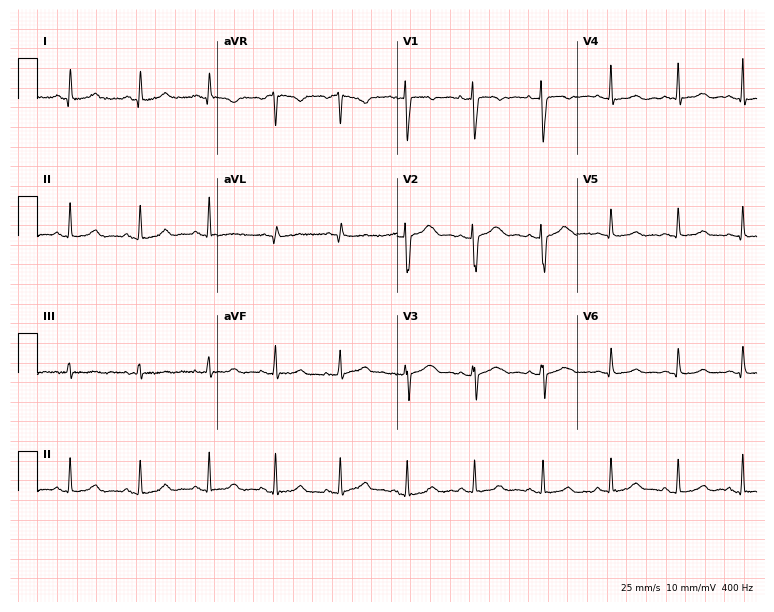
Standard 12-lead ECG recorded from a female patient, 51 years old. None of these six findings is recorded: first-degree AV block, right bundle branch block, left bundle branch block, sinus bradycardia, atrial fibrillation, sinus tachycardia. Findings outside these six are not listed.